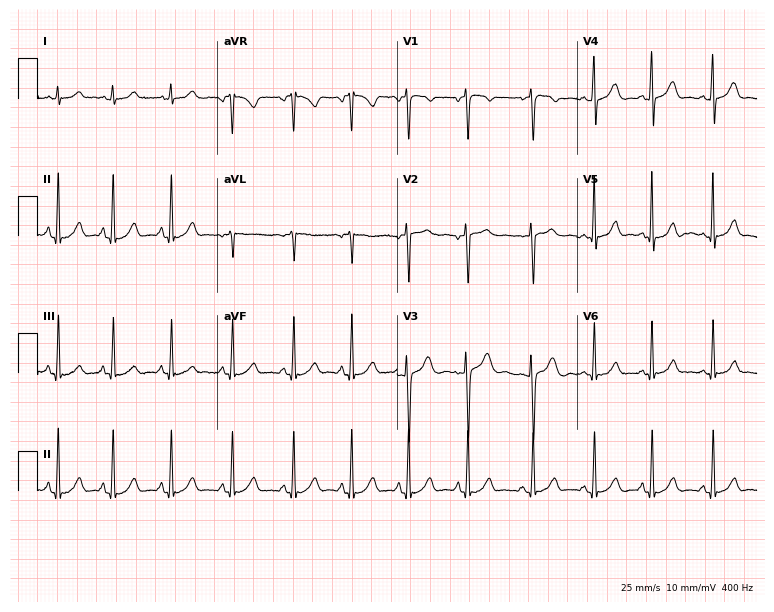
Resting 12-lead electrocardiogram. Patient: a female, 17 years old. Read as a normal ECG.